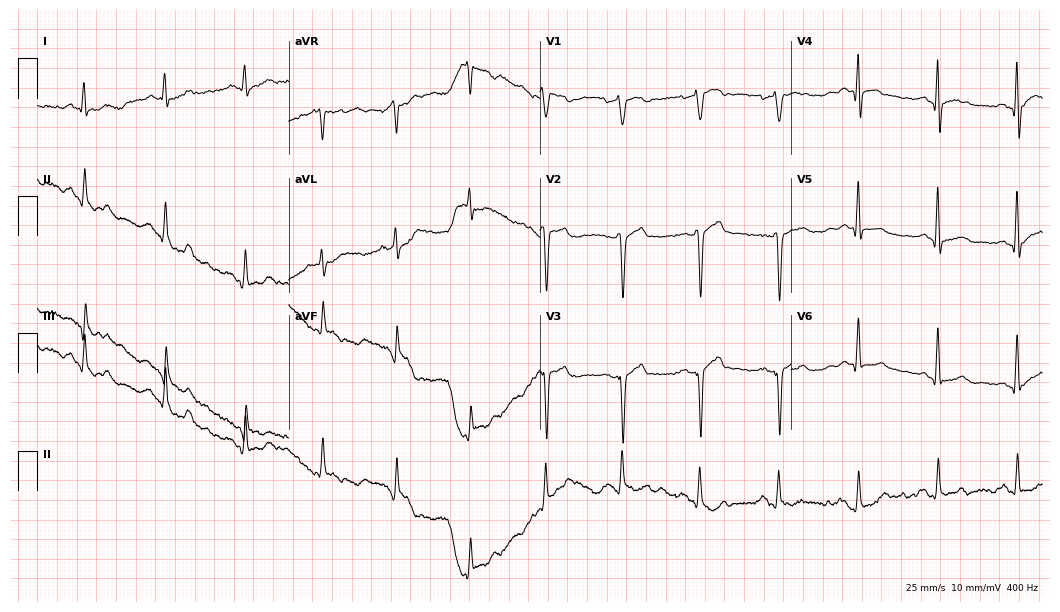
Electrocardiogram, a 74-year-old male patient. Of the six screened findings (first-degree AV block, right bundle branch block, left bundle branch block, sinus bradycardia, atrial fibrillation, sinus tachycardia), none is recorded.